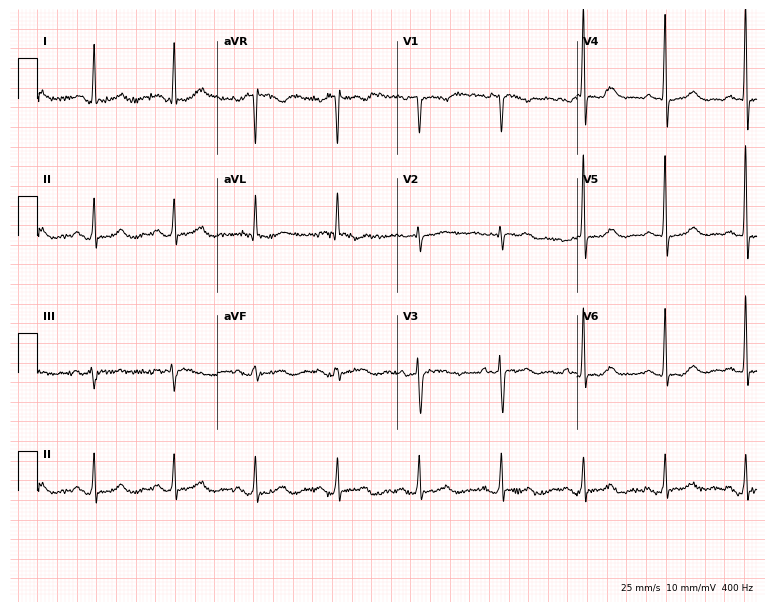
Resting 12-lead electrocardiogram (7.3-second recording at 400 Hz). Patient: a 72-year-old female. Read as a normal ECG.